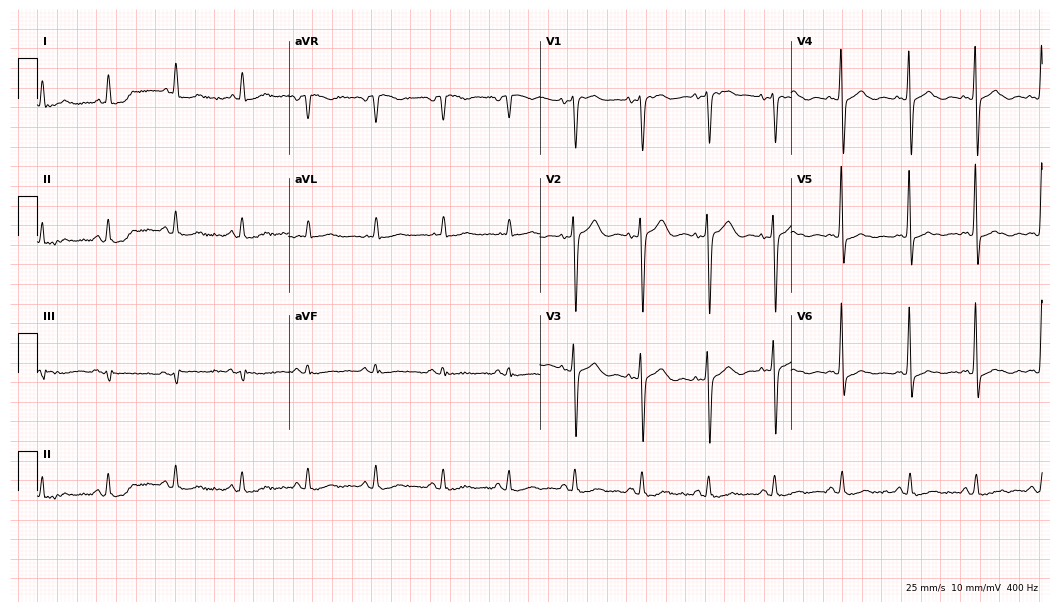
Standard 12-lead ECG recorded from an 83-year-old man (10.2-second recording at 400 Hz). Read as a normal ECG.